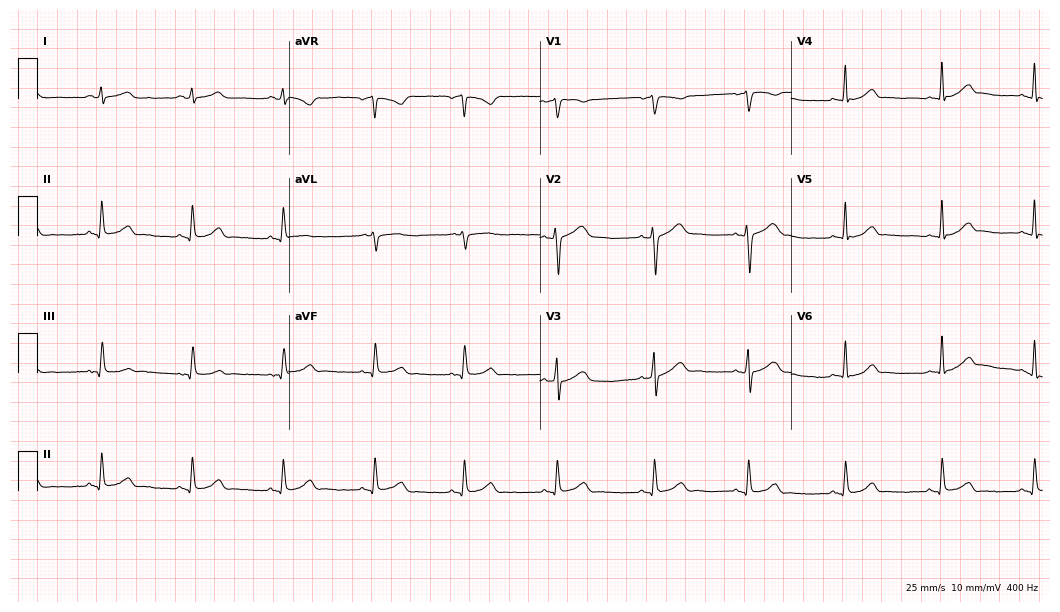
Resting 12-lead electrocardiogram (10.2-second recording at 400 Hz). Patient: a man, 37 years old. Read as a normal ECG.